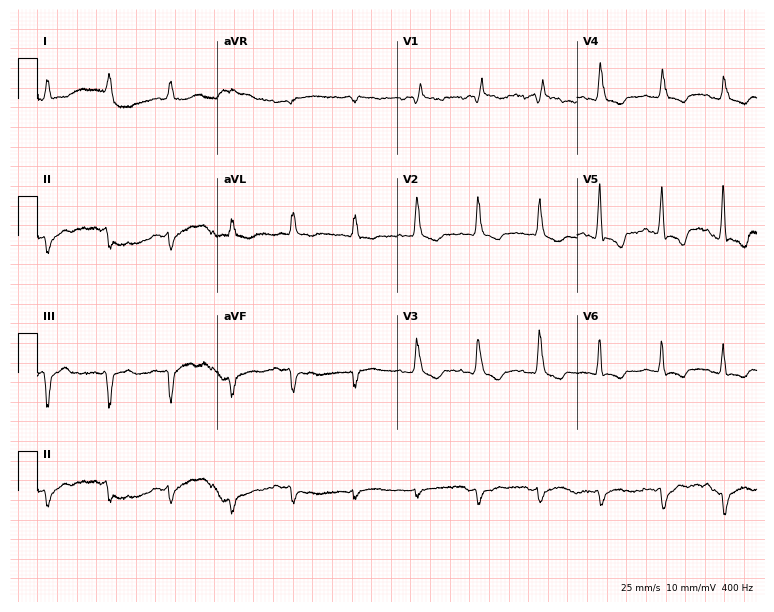
Electrocardiogram, a 72-year-old female patient. Interpretation includes right bundle branch block (RBBB).